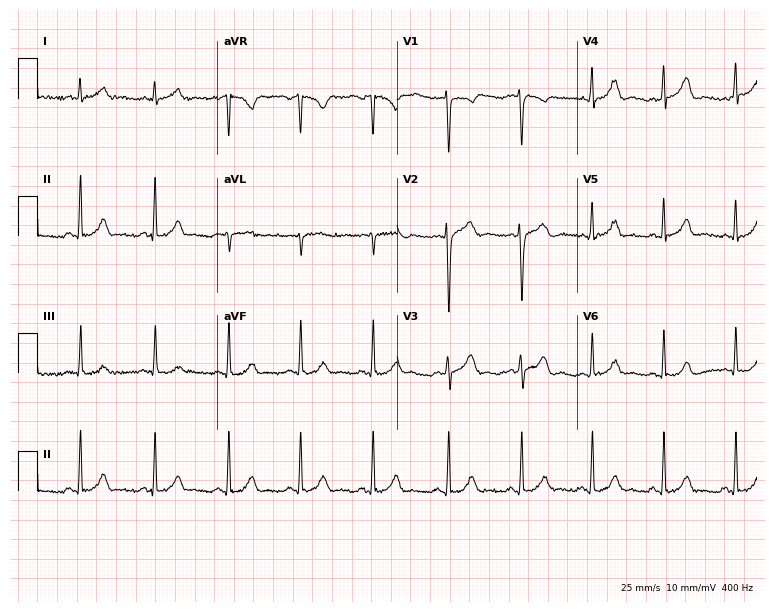
ECG — a 26-year-old female patient. Labelled as a normal ECG.